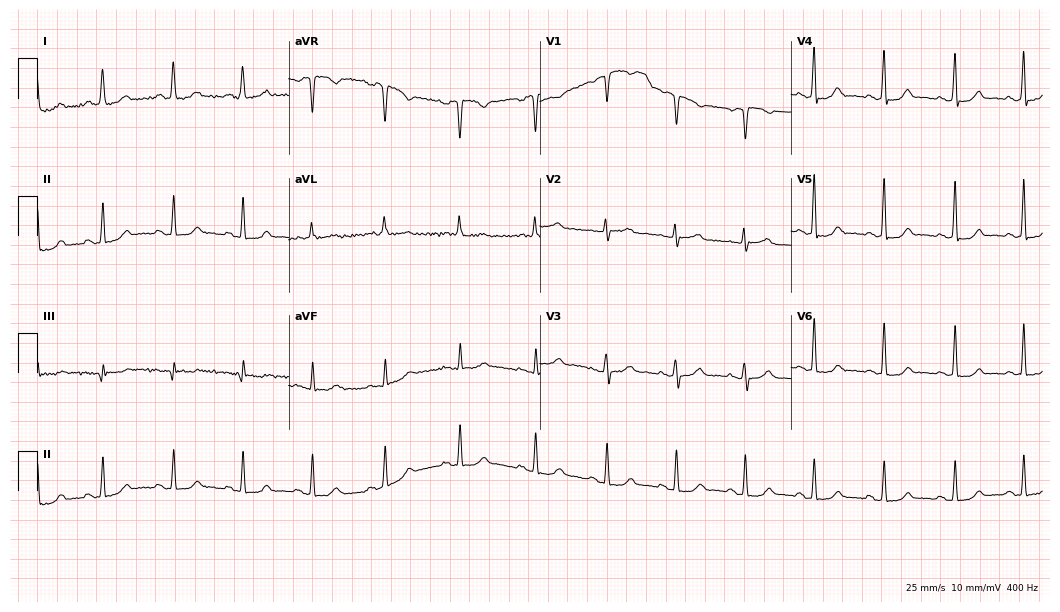
12-lead ECG (10.2-second recording at 400 Hz) from a woman, 52 years old. Labelled as a normal ECG.